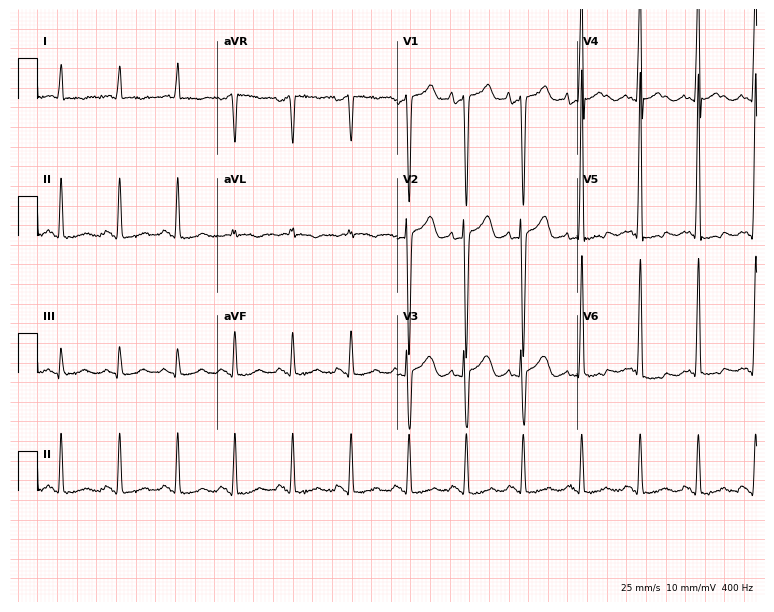
ECG — a male patient, 61 years old. Screened for six findings — first-degree AV block, right bundle branch block (RBBB), left bundle branch block (LBBB), sinus bradycardia, atrial fibrillation (AF), sinus tachycardia — none is recorded.